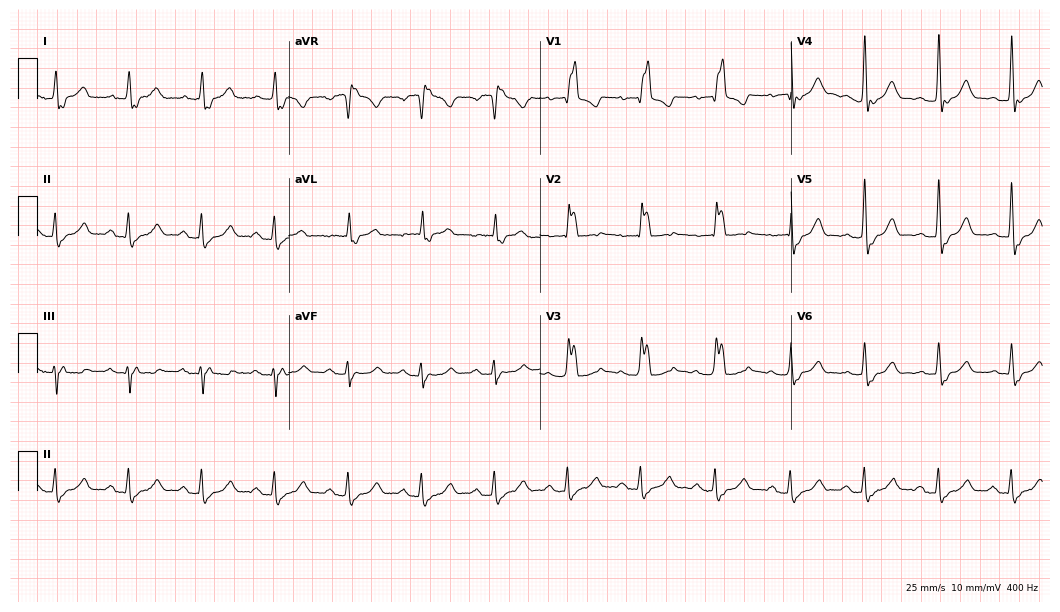
Standard 12-lead ECG recorded from a 79-year-old man (10.2-second recording at 400 Hz). The tracing shows right bundle branch block.